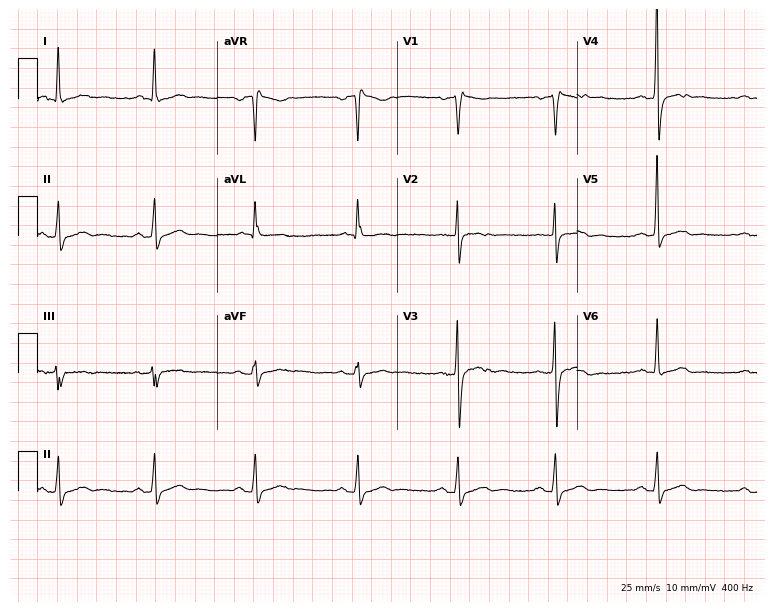
ECG (7.3-second recording at 400 Hz) — a male, 54 years old. Screened for six findings — first-degree AV block, right bundle branch block, left bundle branch block, sinus bradycardia, atrial fibrillation, sinus tachycardia — none is recorded. Other findings, if any, are not listed.